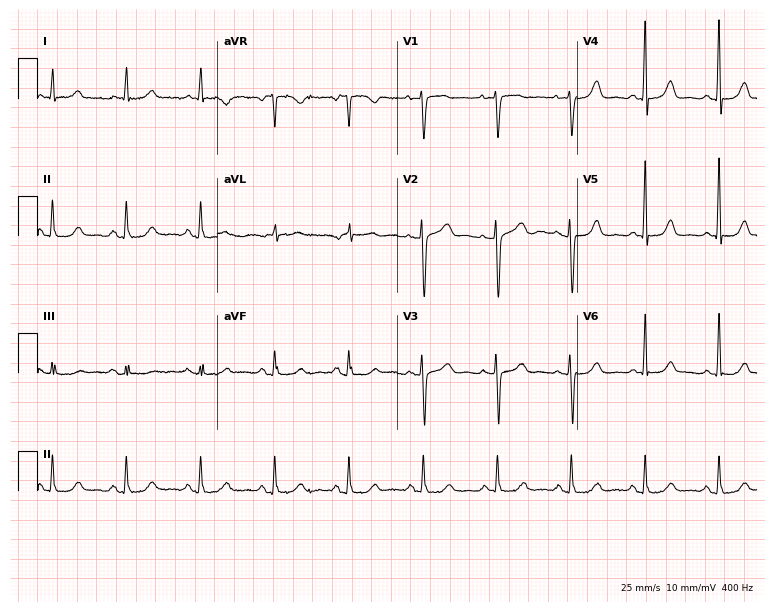
Electrocardiogram (7.3-second recording at 400 Hz), a 79-year-old female. Of the six screened findings (first-degree AV block, right bundle branch block, left bundle branch block, sinus bradycardia, atrial fibrillation, sinus tachycardia), none is recorded. Findings outside these six are not listed.